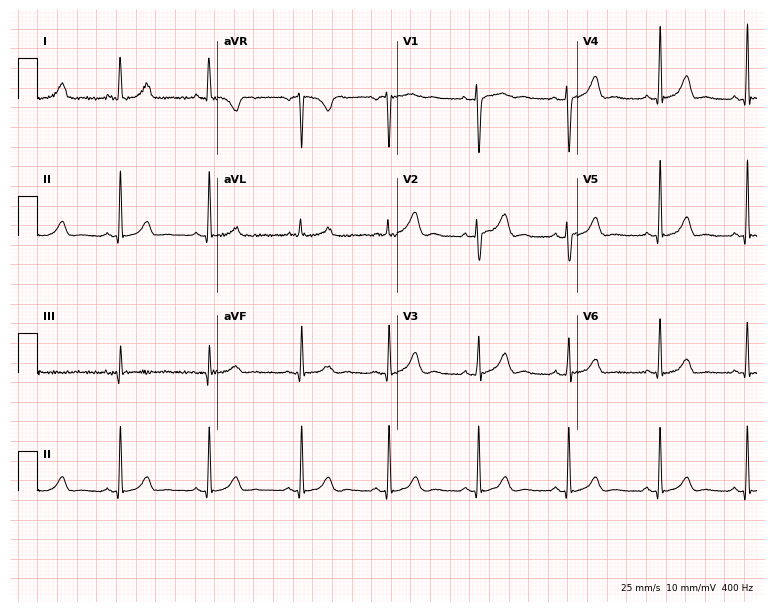
Standard 12-lead ECG recorded from a 32-year-old female patient (7.3-second recording at 400 Hz). None of these six findings is recorded: first-degree AV block, right bundle branch block, left bundle branch block, sinus bradycardia, atrial fibrillation, sinus tachycardia.